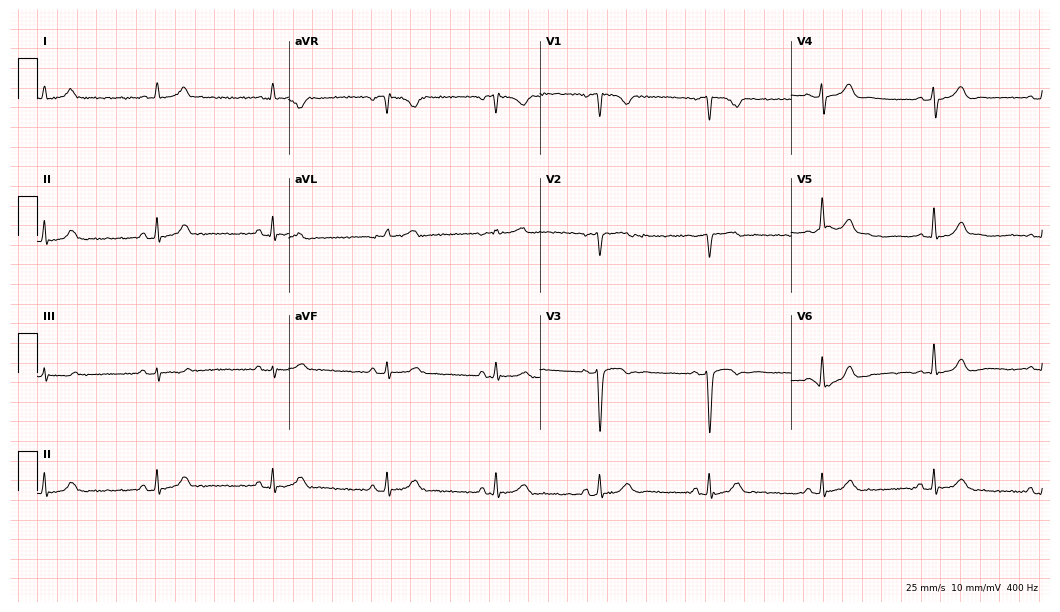
12-lead ECG from a female patient, 51 years old. Recorded interpretation: within normal limits.